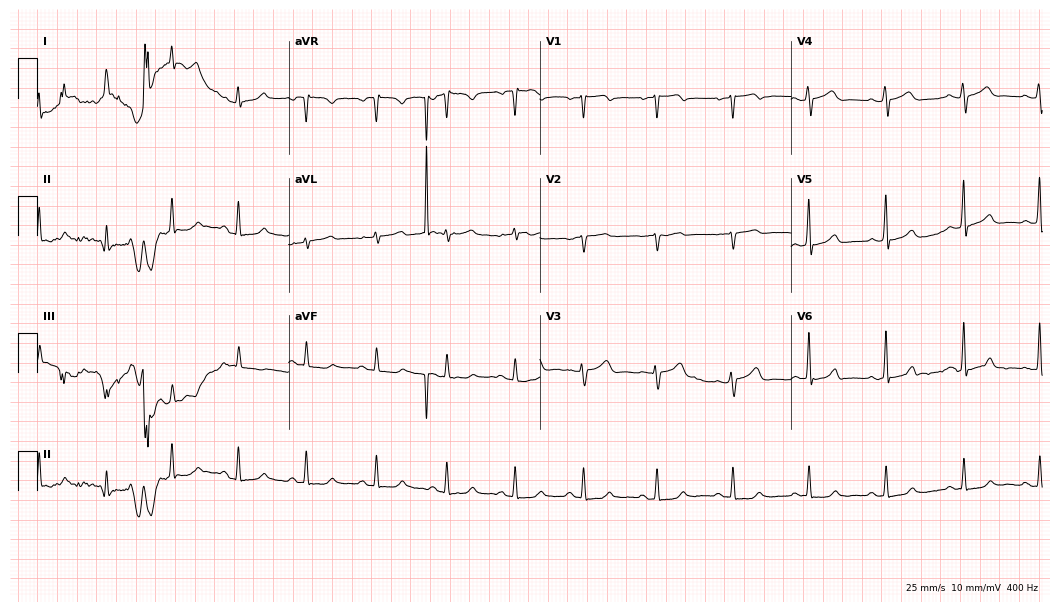
Standard 12-lead ECG recorded from a 39-year-old female (10.2-second recording at 400 Hz). None of these six findings is recorded: first-degree AV block, right bundle branch block (RBBB), left bundle branch block (LBBB), sinus bradycardia, atrial fibrillation (AF), sinus tachycardia.